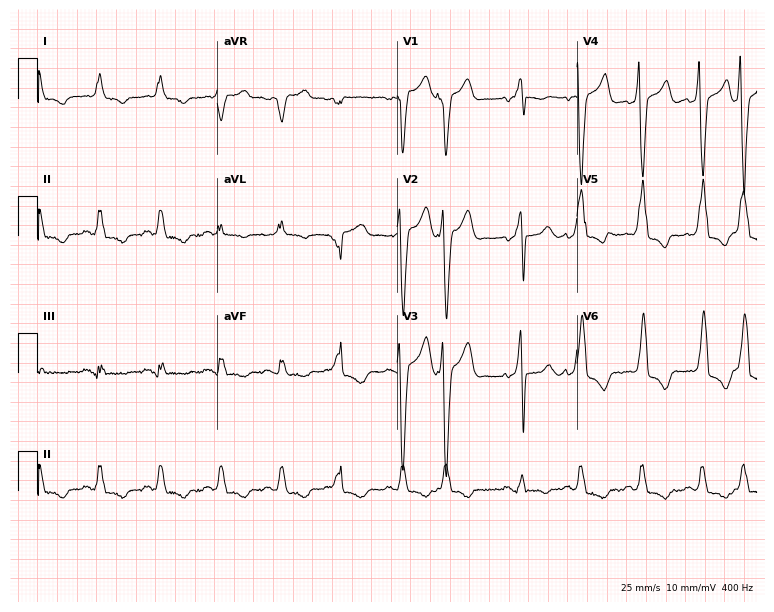
12-lead ECG from a male, 70 years old. Findings include left bundle branch block, atrial fibrillation.